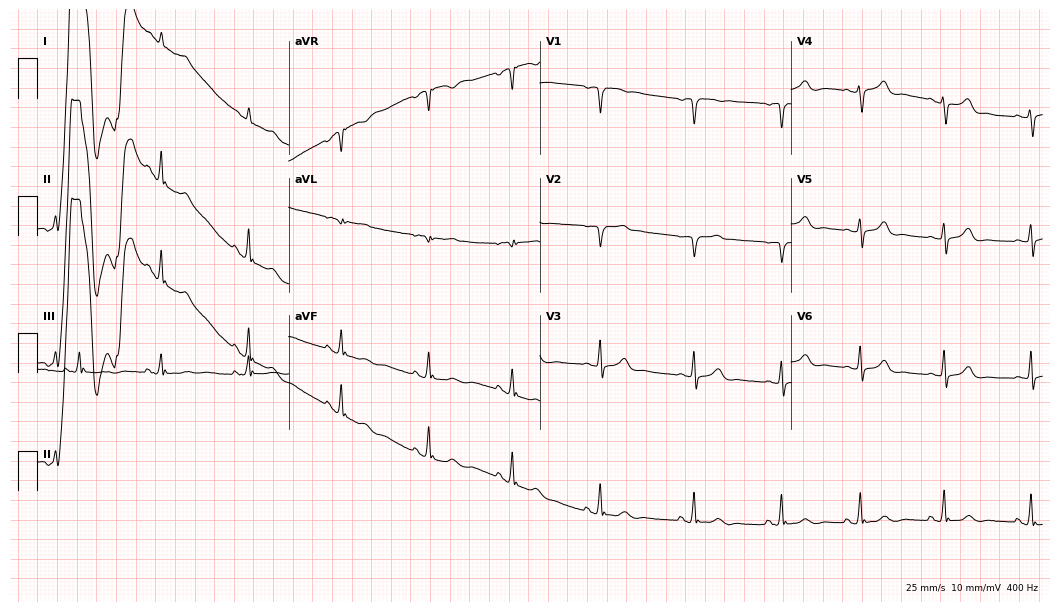
12-lead ECG from a male, 51 years old (10.2-second recording at 400 Hz). No first-degree AV block, right bundle branch block, left bundle branch block, sinus bradycardia, atrial fibrillation or sinus tachycardia recorded for this tracing.